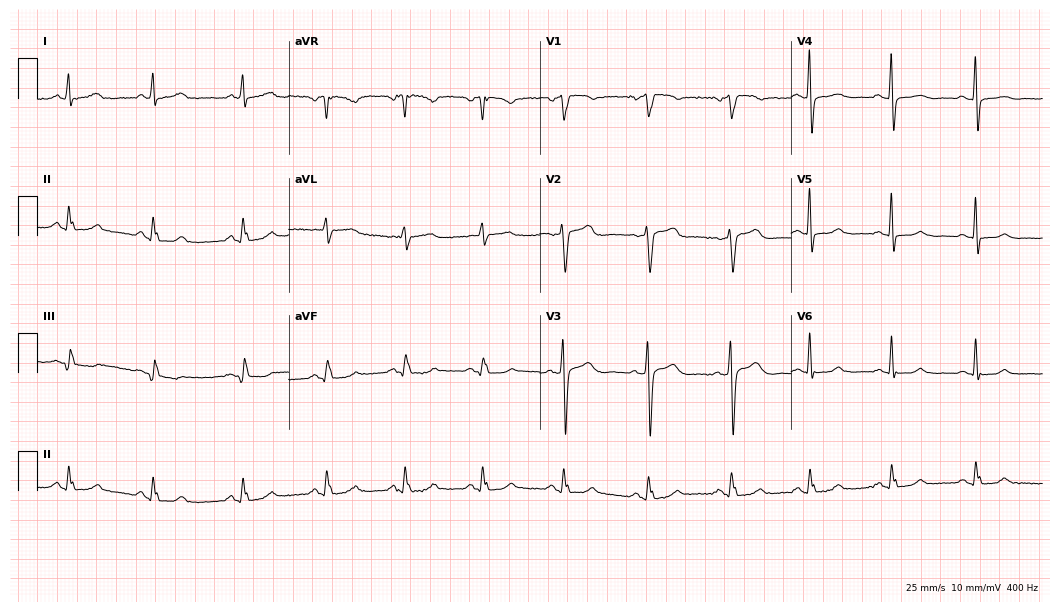
ECG — a female, 57 years old. Labelled as a normal ECG.